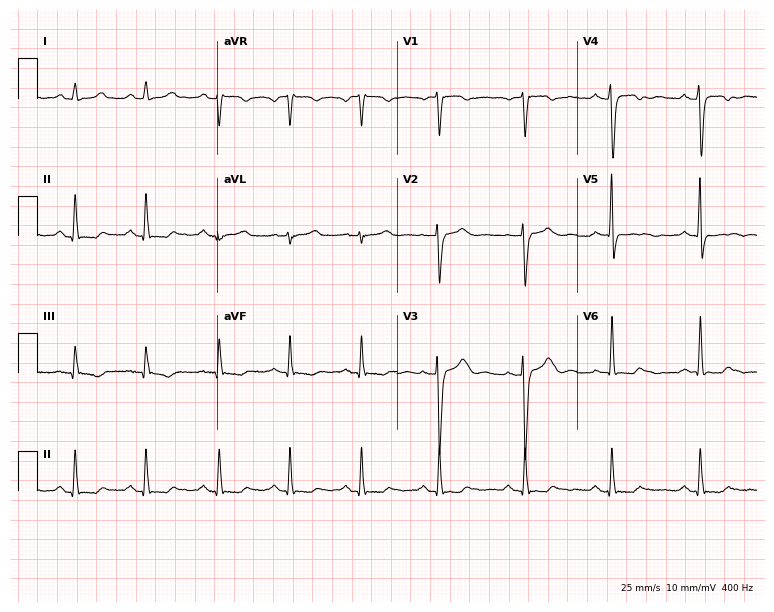
Electrocardiogram, a female, 35 years old. Of the six screened findings (first-degree AV block, right bundle branch block, left bundle branch block, sinus bradycardia, atrial fibrillation, sinus tachycardia), none is recorded.